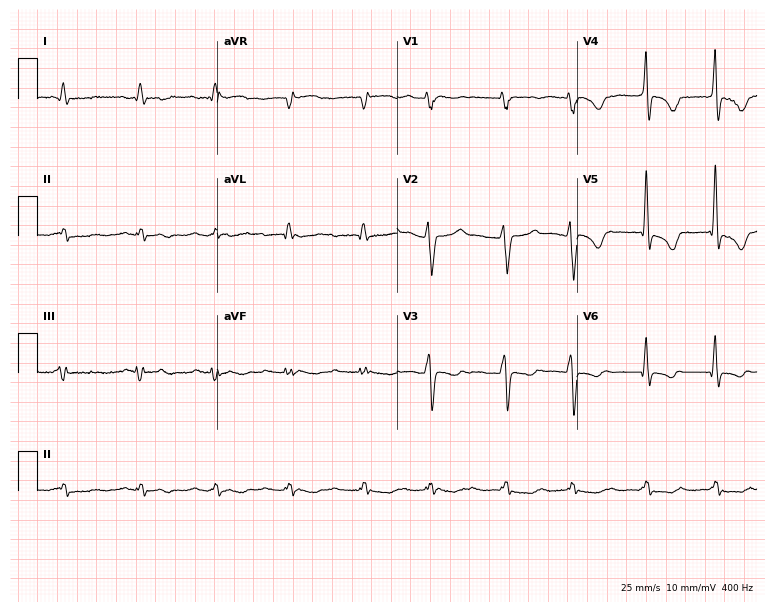
Resting 12-lead electrocardiogram. Patient: a man, 63 years old. None of these six findings is recorded: first-degree AV block, right bundle branch block (RBBB), left bundle branch block (LBBB), sinus bradycardia, atrial fibrillation (AF), sinus tachycardia.